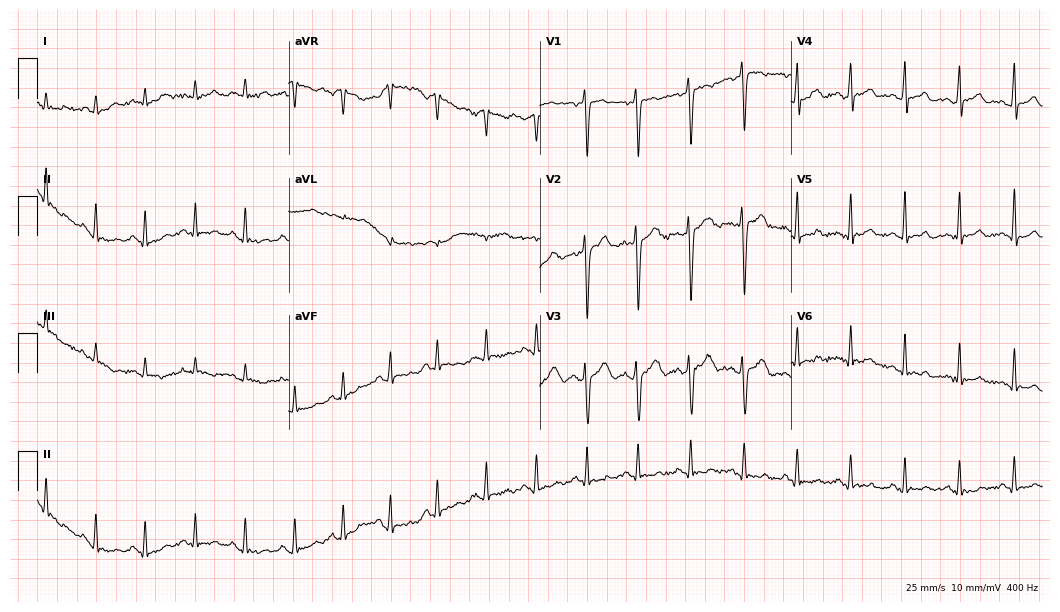
ECG — a male patient, 20 years old. Findings include sinus tachycardia (a sinus rate of 100 beats per minute or more).